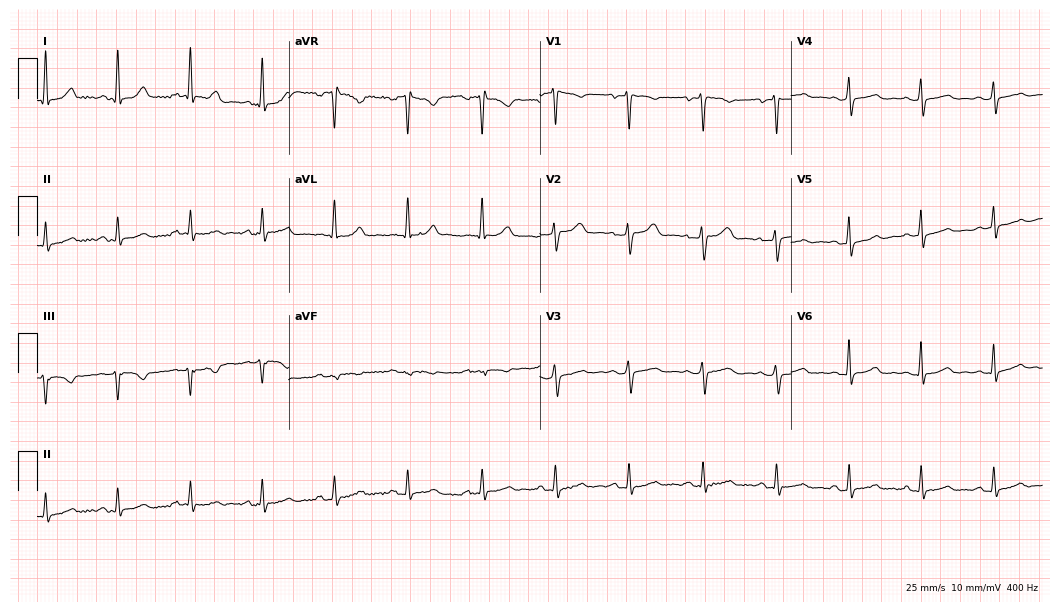
12-lead ECG from a 58-year-old woman. Screened for six findings — first-degree AV block, right bundle branch block, left bundle branch block, sinus bradycardia, atrial fibrillation, sinus tachycardia — none is recorded.